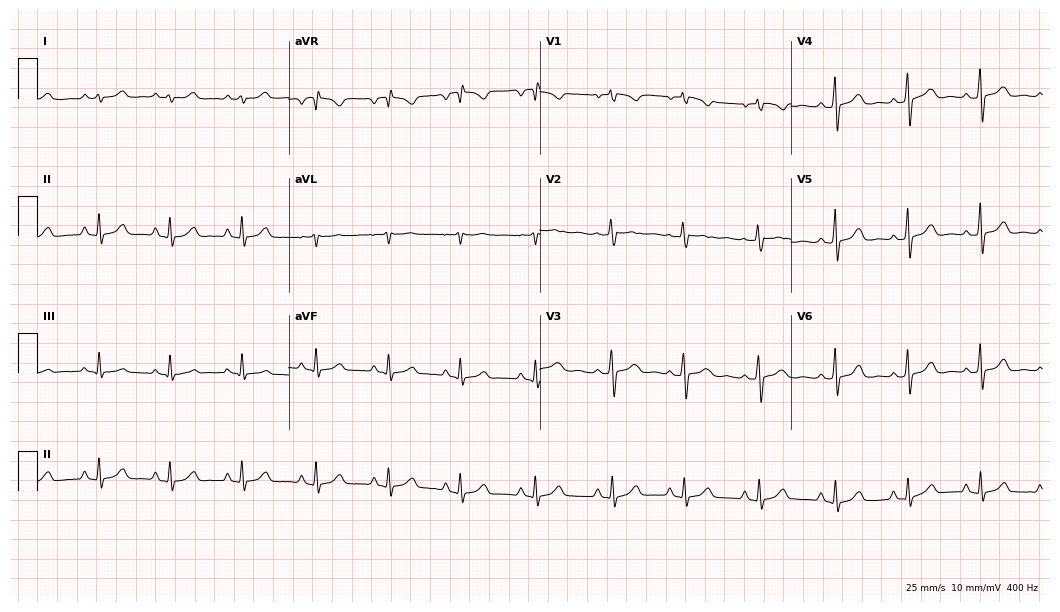
Resting 12-lead electrocardiogram (10.2-second recording at 400 Hz). Patient: a 34-year-old female. None of these six findings is recorded: first-degree AV block, right bundle branch block, left bundle branch block, sinus bradycardia, atrial fibrillation, sinus tachycardia. Only these six findings were labelled.